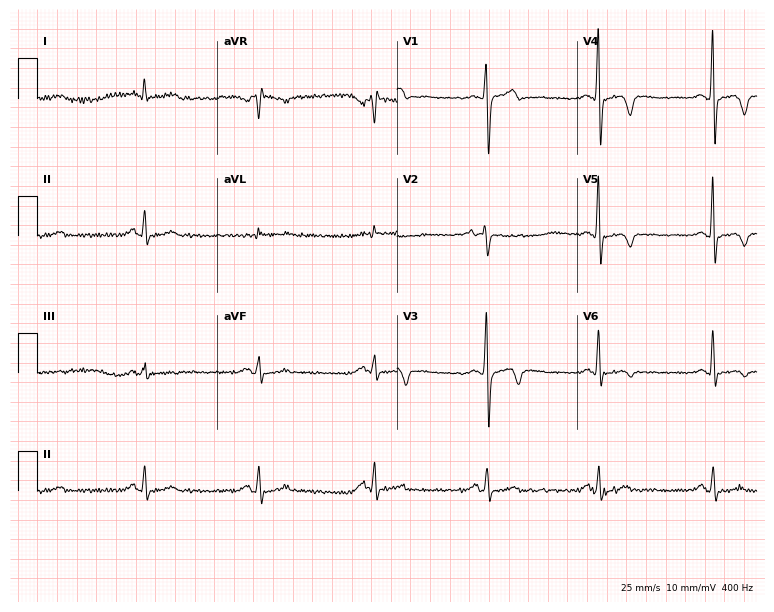
Resting 12-lead electrocardiogram. Patient: a male, 61 years old. None of these six findings is recorded: first-degree AV block, right bundle branch block, left bundle branch block, sinus bradycardia, atrial fibrillation, sinus tachycardia.